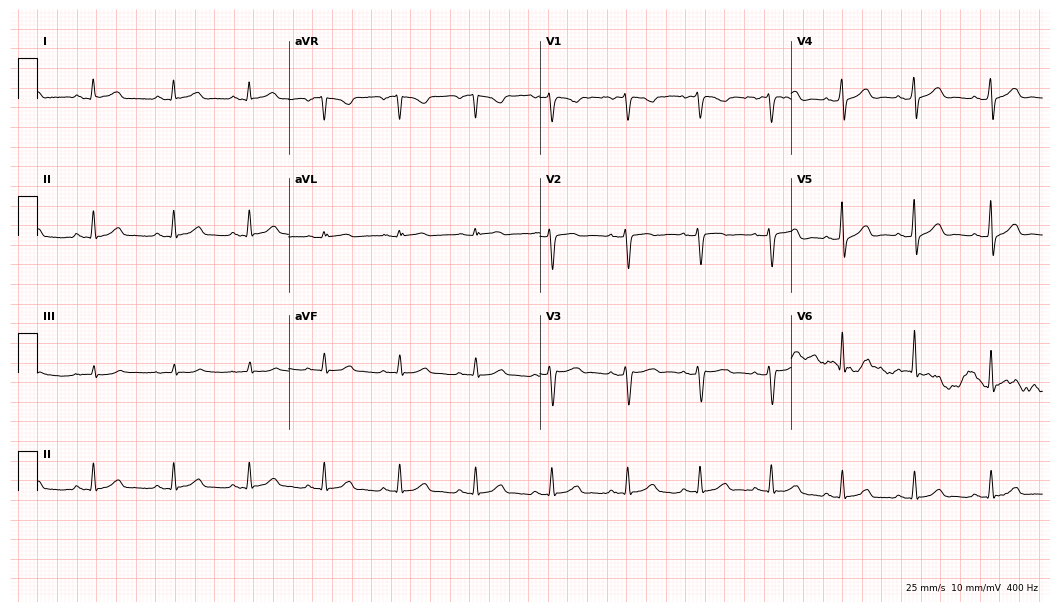
12-lead ECG from a 19-year-old woman. Labelled as a normal ECG.